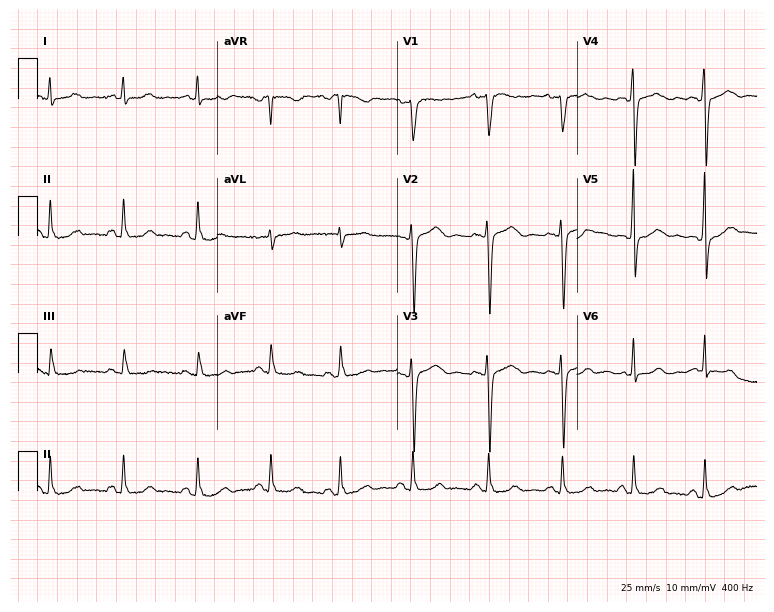
ECG (7.3-second recording at 400 Hz) — a 33-year-old female. Screened for six findings — first-degree AV block, right bundle branch block, left bundle branch block, sinus bradycardia, atrial fibrillation, sinus tachycardia — none is recorded. Findings outside these six are not listed.